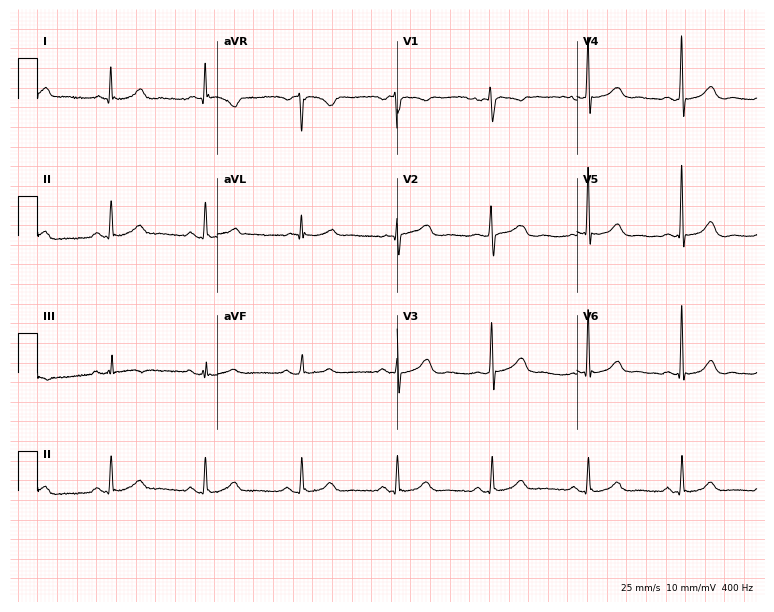
12-lead ECG from a 63-year-old female patient. No first-degree AV block, right bundle branch block (RBBB), left bundle branch block (LBBB), sinus bradycardia, atrial fibrillation (AF) or sinus tachycardia recorded for this tracing. Other findings, if any, are not listed.